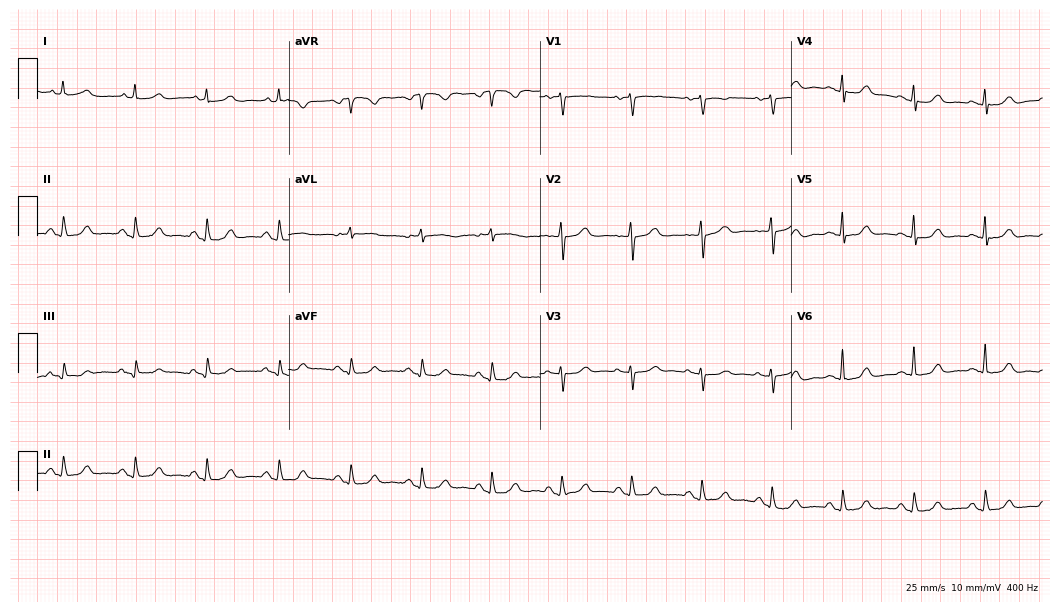
Electrocardiogram (10.2-second recording at 400 Hz), a female, 75 years old. Overall reading on record: normal ECG.